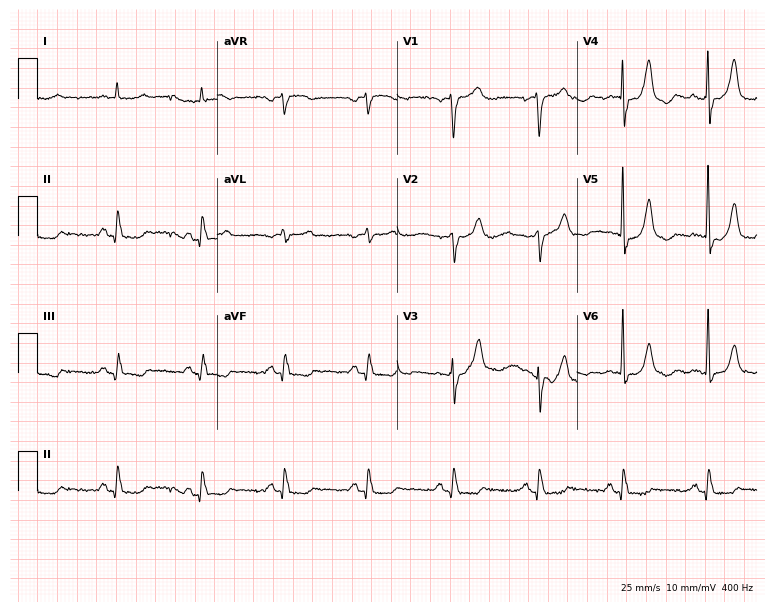
Resting 12-lead electrocardiogram (7.3-second recording at 400 Hz). Patient: a male, 71 years old. Read as a normal ECG.